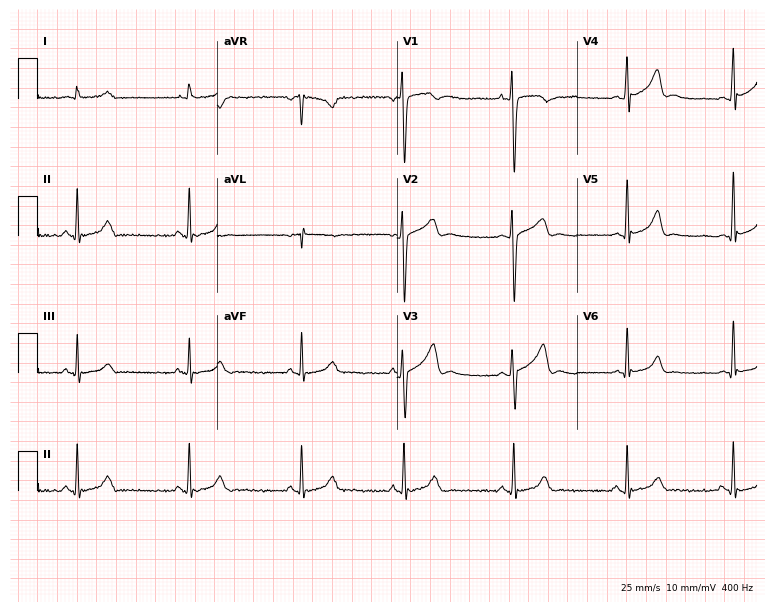
ECG (7.3-second recording at 400 Hz) — a male patient, 23 years old. Labelled as a normal ECG.